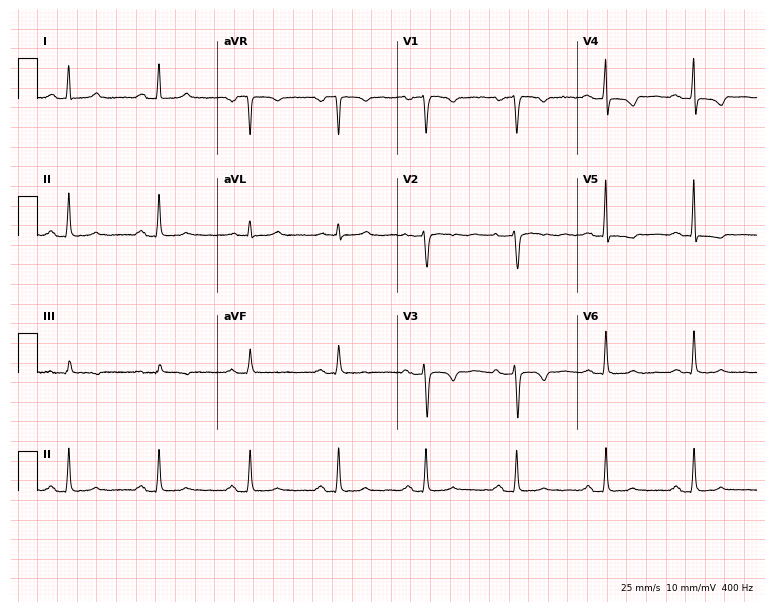
Standard 12-lead ECG recorded from a 55-year-old female. None of these six findings is recorded: first-degree AV block, right bundle branch block, left bundle branch block, sinus bradycardia, atrial fibrillation, sinus tachycardia.